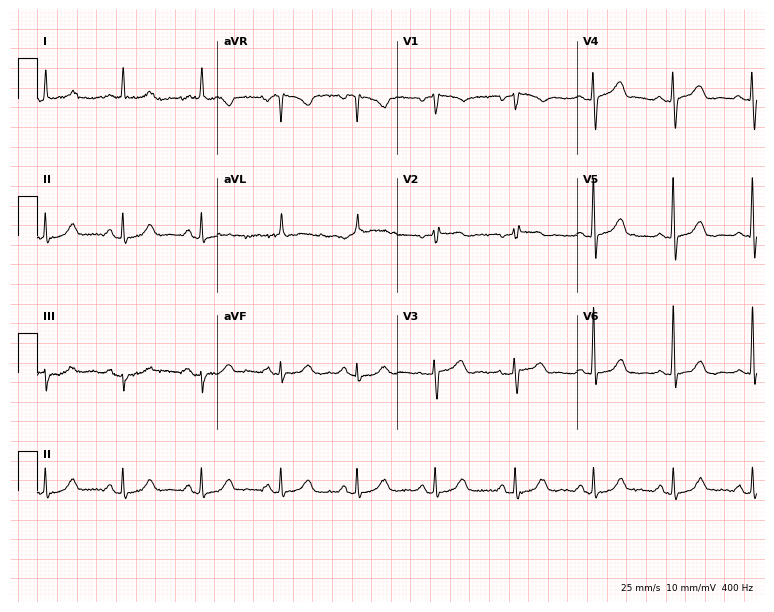
Electrocardiogram (7.3-second recording at 400 Hz), a 75-year-old female patient. Of the six screened findings (first-degree AV block, right bundle branch block, left bundle branch block, sinus bradycardia, atrial fibrillation, sinus tachycardia), none is recorded. Findings outside these six are not listed.